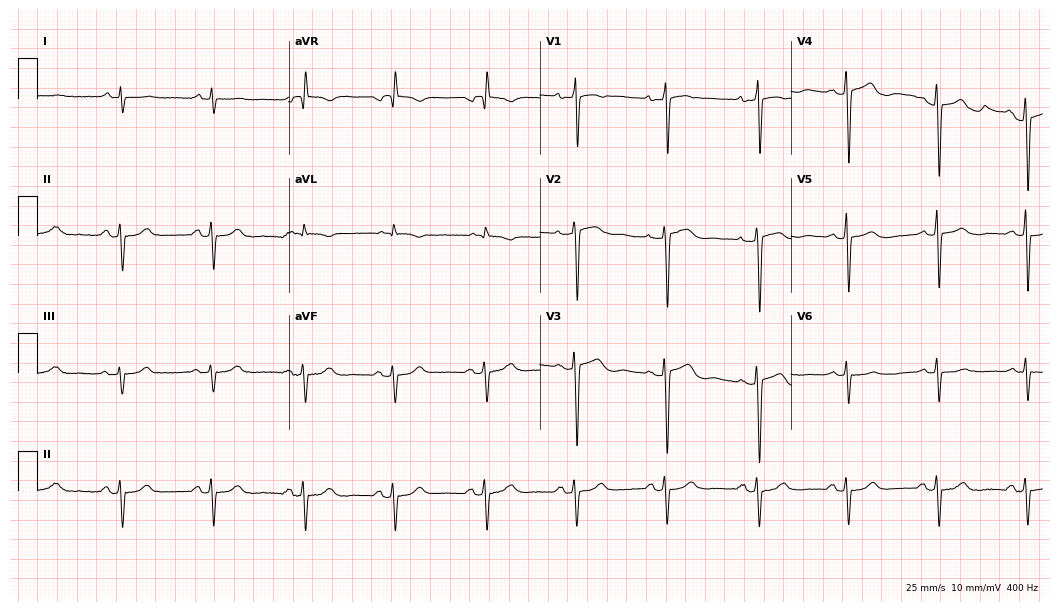
Electrocardiogram (10.2-second recording at 400 Hz), a male patient, 64 years old. Of the six screened findings (first-degree AV block, right bundle branch block, left bundle branch block, sinus bradycardia, atrial fibrillation, sinus tachycardia), none is recorded.